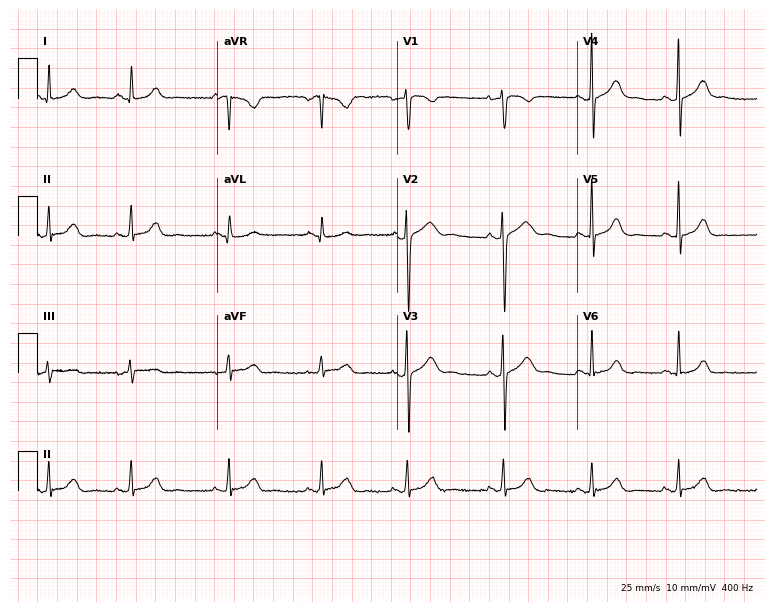
ECG (7.3-second recording at 400 Hz) — a 17-year-old female. Screened for six findings — first-degree AV block, right bundle branch block (RBBB), left bundle branch block (LBBB), sinus bradycardia, atrial fibrillation (AF), sinus tachycardia — none is recorded. Findings outside these six are not listed.